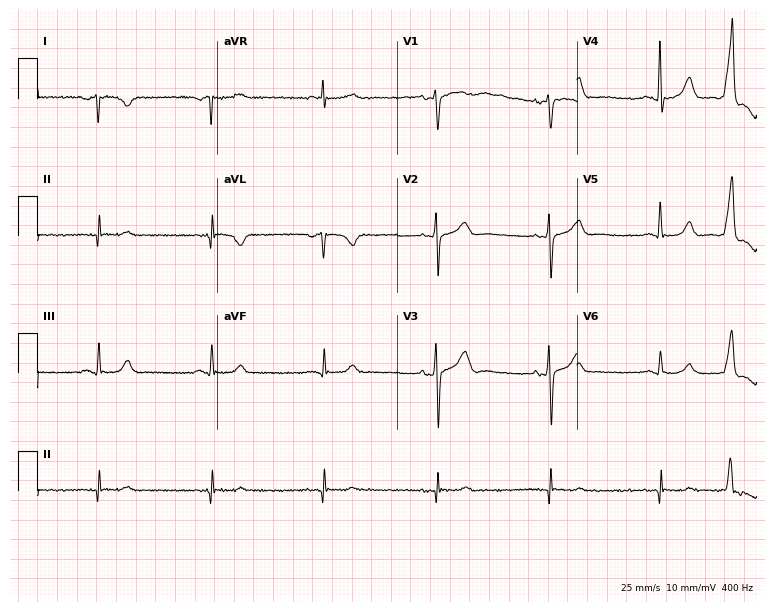
12-lead ECG from a male, 63 years old. Screened for six findings — first-degree AV block, right bundle branch block, left bundle branch block, sinus bradycardia, atrial fibrillation, sinus tachycardia — none is recorded.